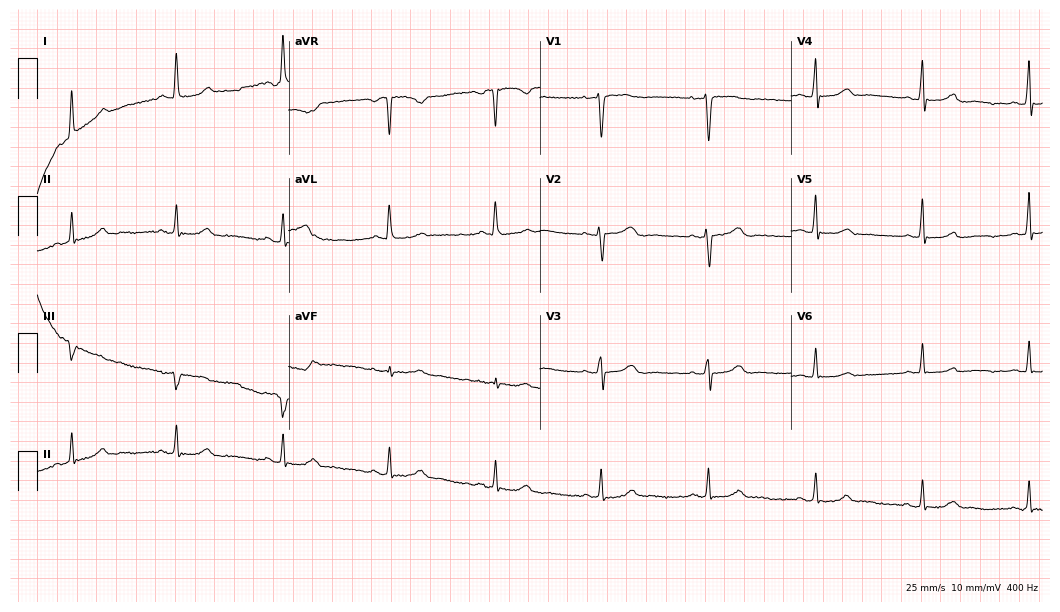
Resting 12-lead electrocardiogram (10.2-second recording at 400 Hz). Patient: a 55-year-old female. None of these six findings is recorded: first-degree AV block, right bundle branch block, left bundle branch block, sinus bradycardia, atrial fibrillation, sinus tachycardia. Findings outside these six are not listed.